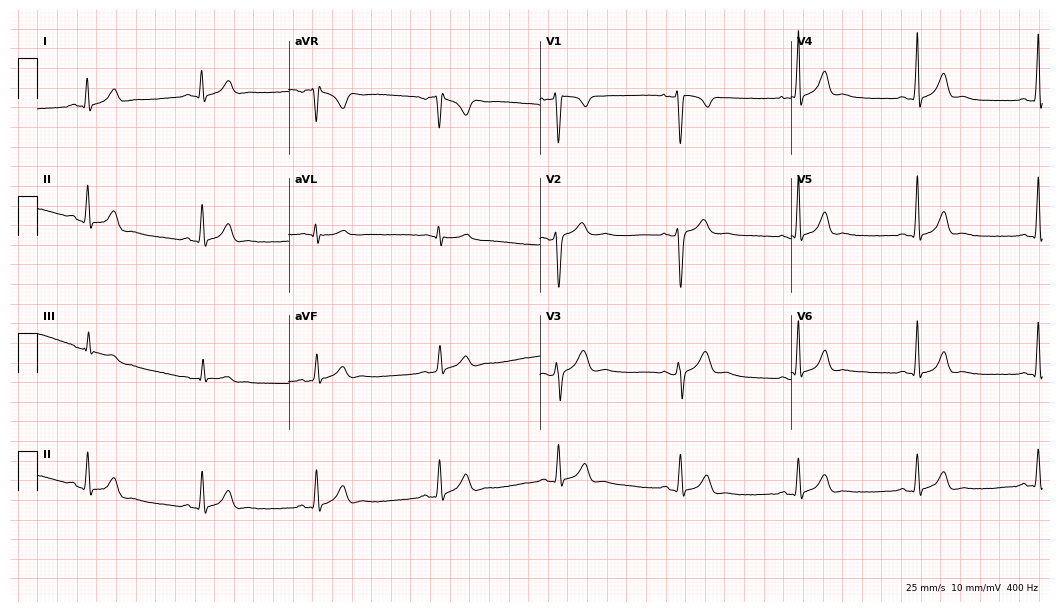
Resting 12-lead electrocardiogram. Patient: a 30-year-old male. None of these six findings is recorded: first-degree AV block, right bundle branch block, left bundle branch block, sinus bradycardia, atrial fibrillation, sinus tachycardia.